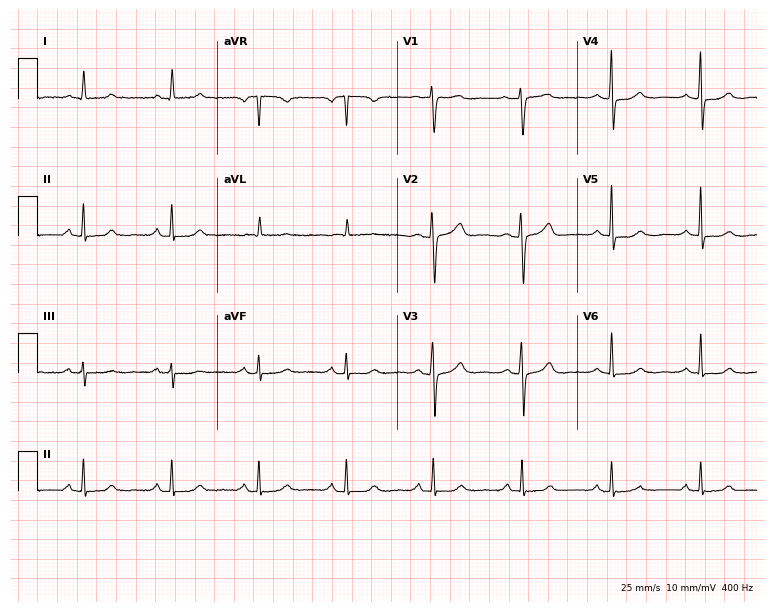
Standard 12-lead ECG recorded from a female patient, 65 years old (7.3-second recording at 400 Hz). None of these six findings is recorded: first-degree AV block, right bundle branch block, left bundle branch block, sinus bradycardia, atrial fibrillation, sinus tachycardia. Findings outside these six are not listed.